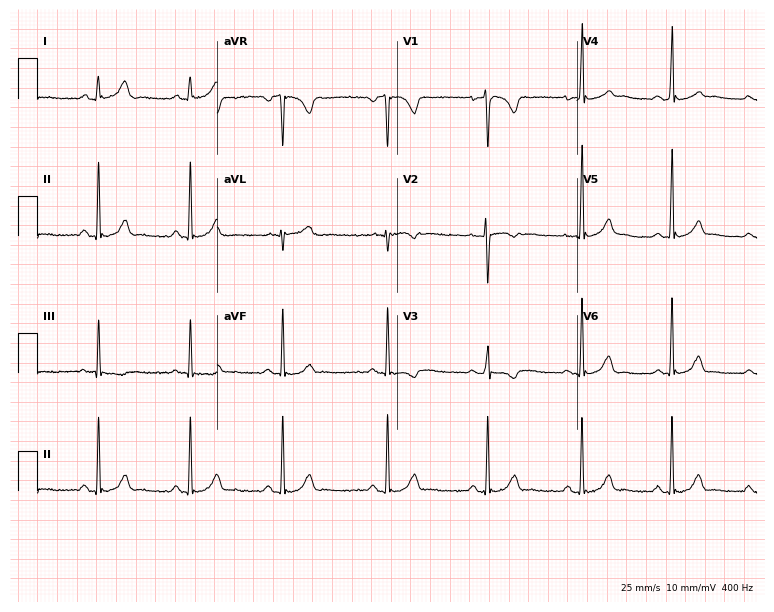
12-lead ECG from a 19-year-old female patient. No first-degree AV block, right bundle branch block, left bundle branch block, sinus bradycardia, atrial fibrillation or sinus tachycardia recorded for this tracing.